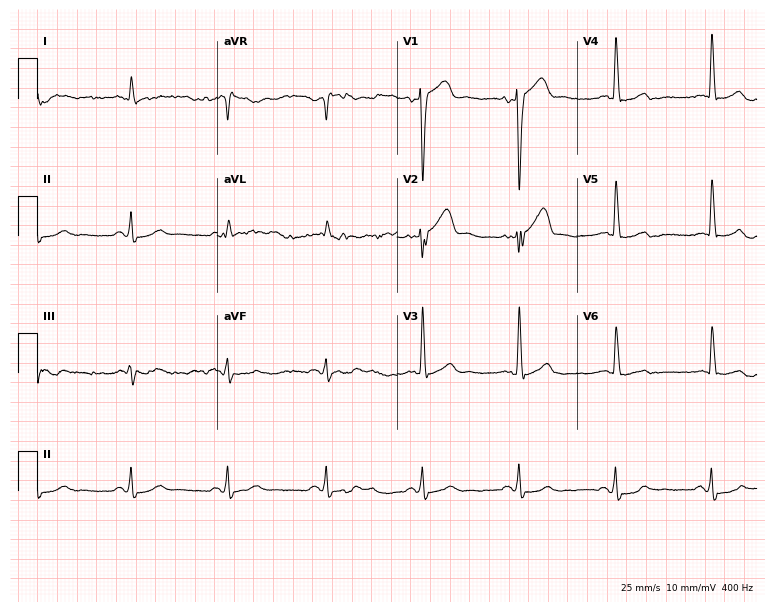
ECG — a 69-year-old man. Labelled as a normal ECG.